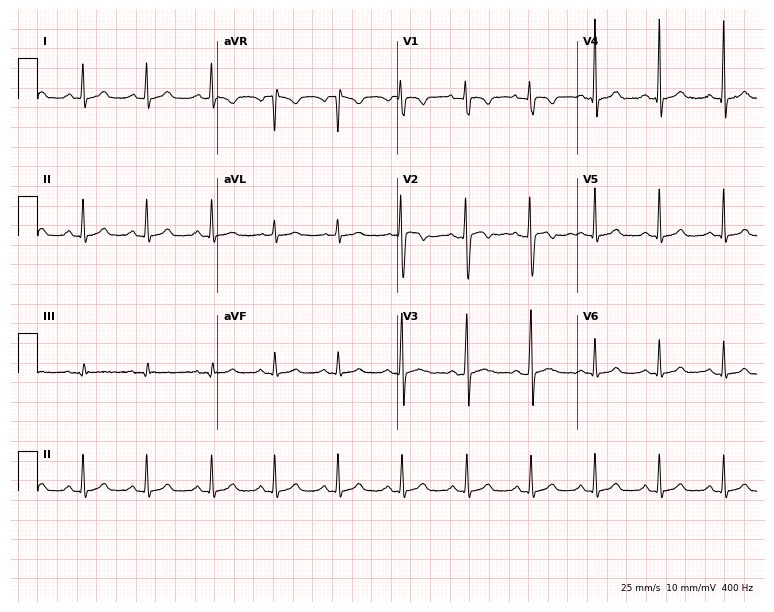
Standard 12-lead ECG recorded from a female patient, 36 years old (7.3-second recording at 400 Hz). None of these six findings is recorded: first-degree AV block, right bundle branch block (RBBB), left bundle branch block (LBBB), sinus bradycardia, atrial fibrillation (AF), sinus tachycardia.